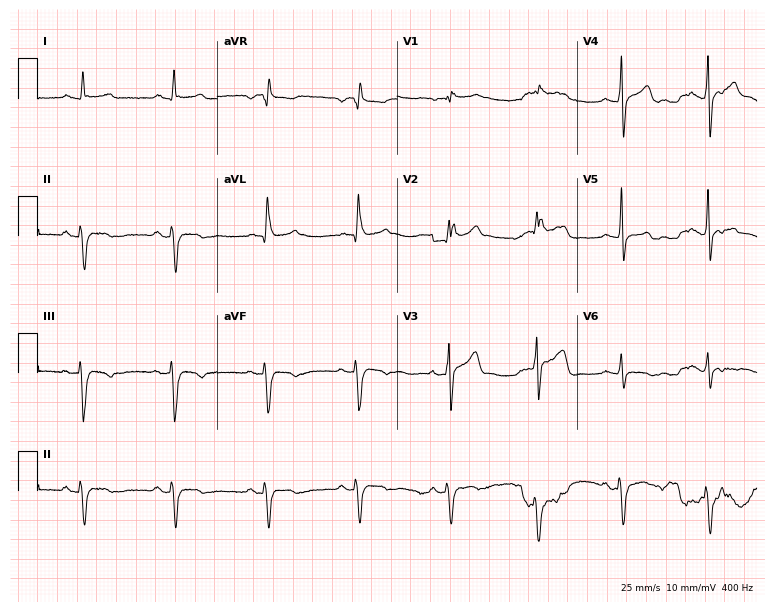
Resting 12-lead electrocardiogram (7.3-second recording at 400 Hz). Patient: a 42-year-old man. None of these six findings is recorded: first-degree AV block, right bundle branch block (RBBB), left bundle branch block (LBBB), sinus bradycardia, atrial fibrillation (AF), sinus tachycardia.